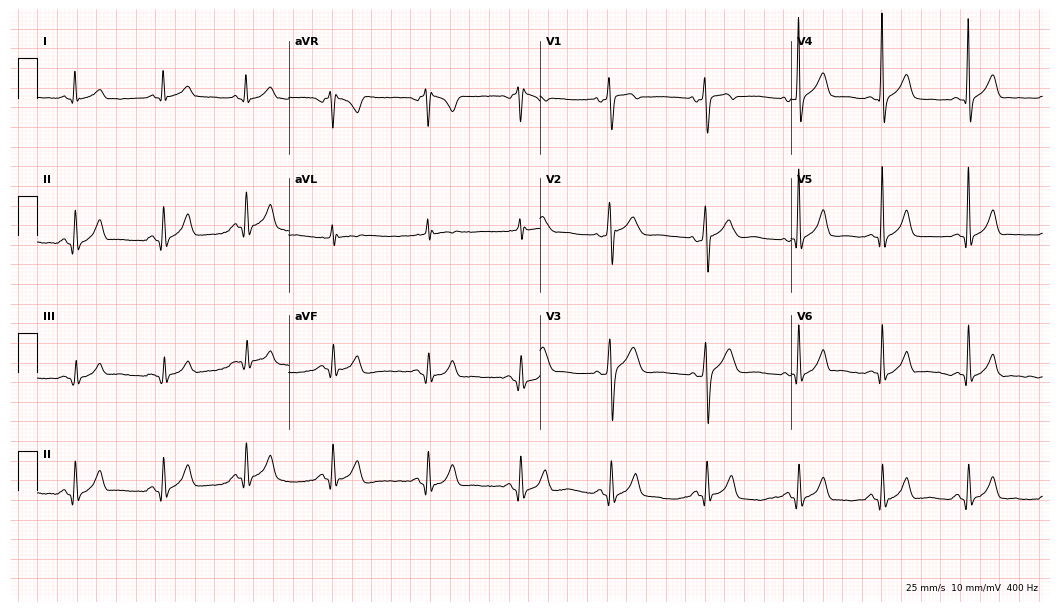
Electrocardiogram (10.2-second recording at 400 Hz), a 31-year-old male. Overall reading on record: normal ECG.